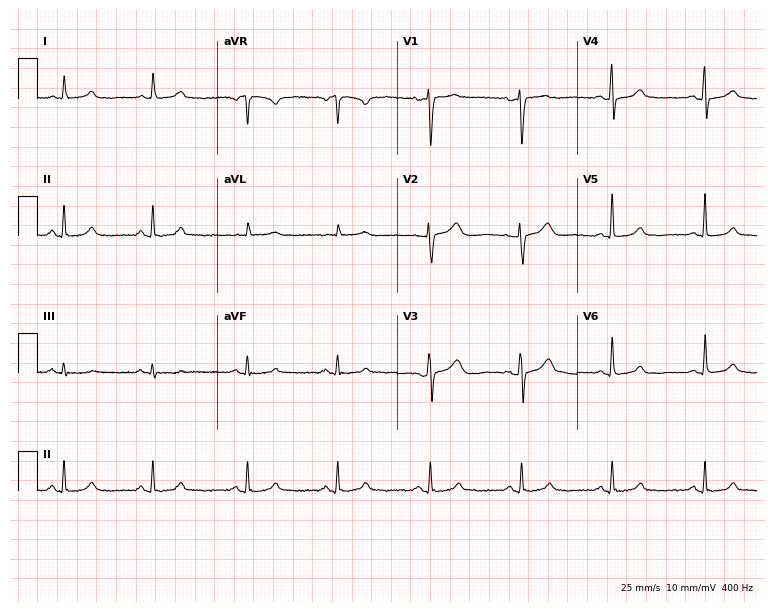
ECG — a female, 49 years old. Screened for six findings — first-degree AV block, right bundle branch block (RBBB), left bundle branch block (LBBB), sinus bradycardia, atrial fibrillation (AF), sinus tachycardia — none is recorded.